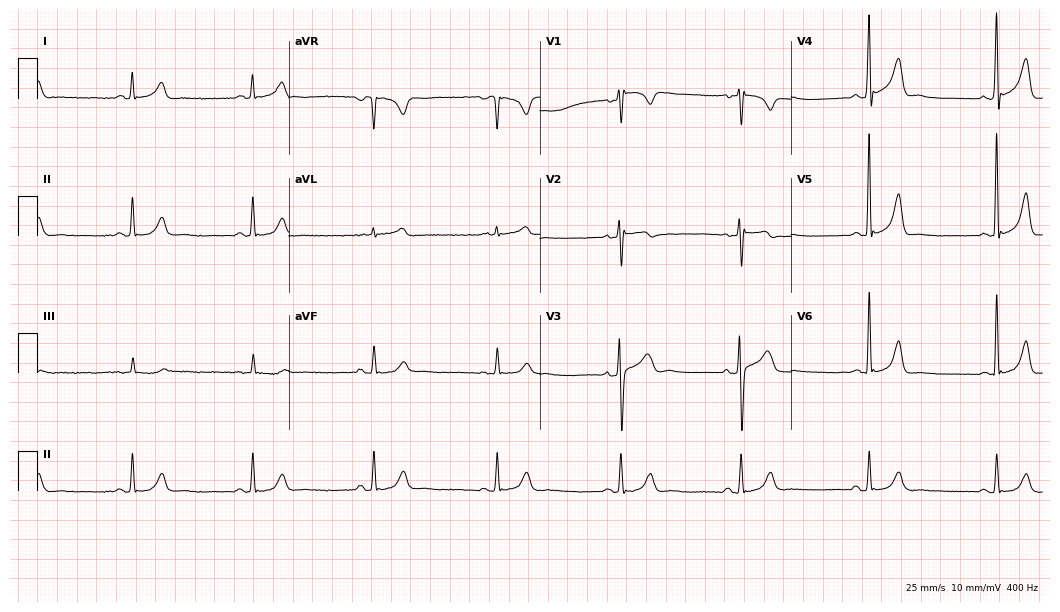
ECG — a 41-year-old male patient. Findings include sinus bradycardia (a sinus rate of 50 beats per minute or less).